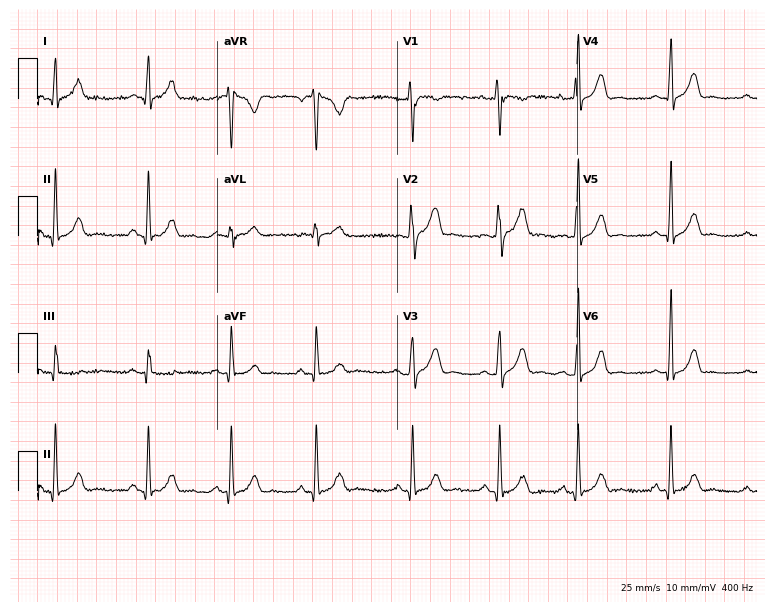
ECG — a 19-year-old female patient. Labelled as a normal ECG.